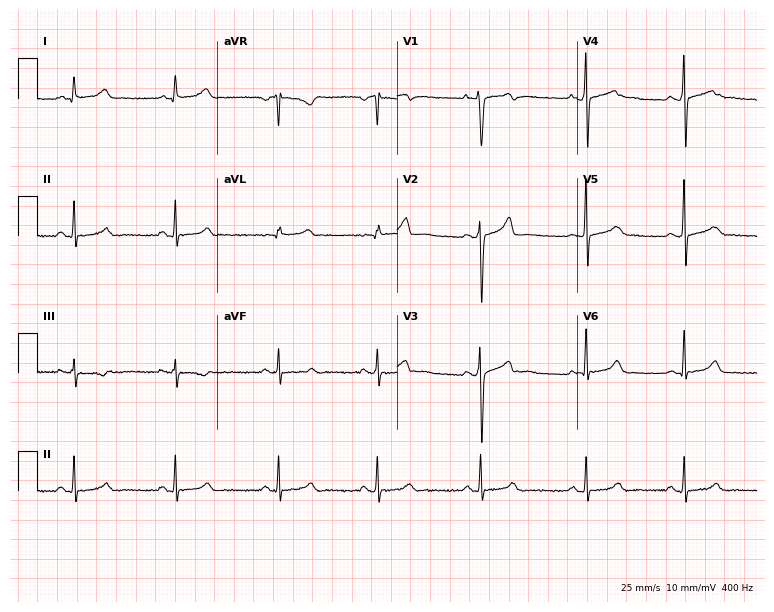
12-lead ECG from a male, 24 years old. Screened for six findings — first-degree AV block, right bundle branch block (RBBB), left bundle branch block (LBBB), sinus bradycardia, atrial fibrillation (AF), sinus tachycardia — none is recorded. Findings outside these six are not listed.